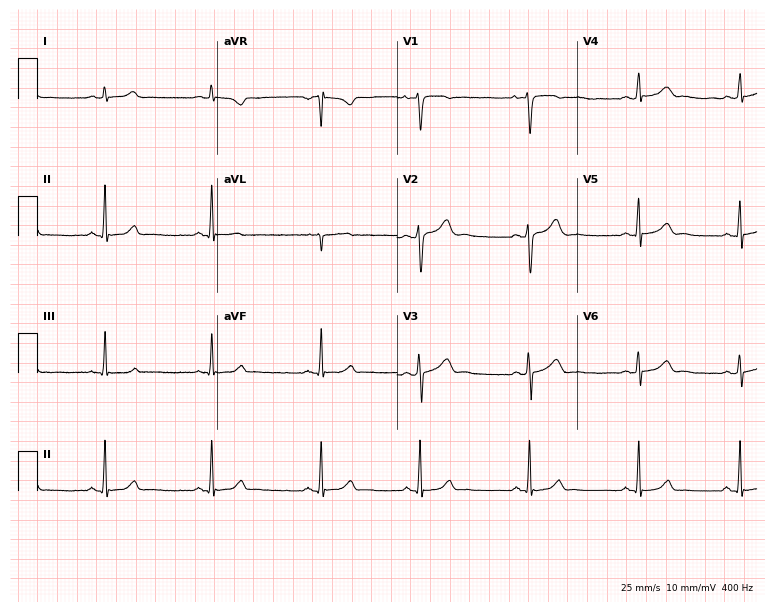
12-lead ECG from a woman, 19 years old. Recorded interpretation: within normal limits.